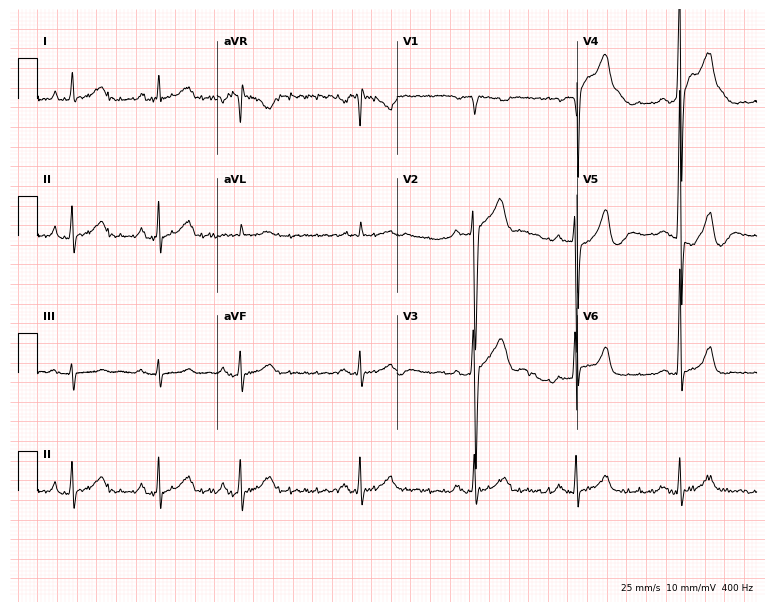
Standard 12-lead ECG recorded from a male, 38 years old. Read as a normal ECG.